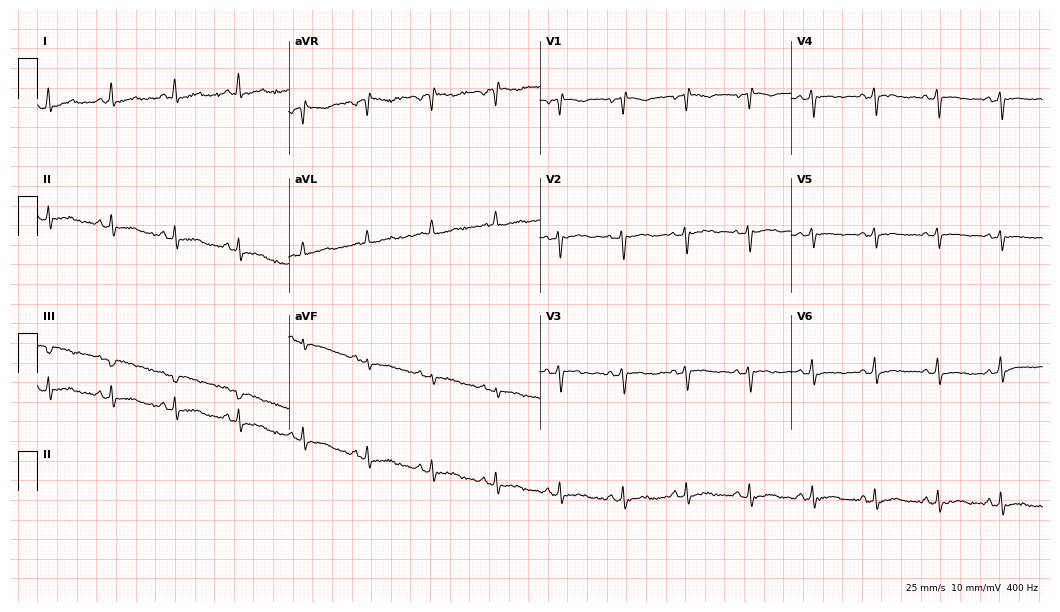
ECG — a 44-year-old female patient. Screened for six findings — first-degree AV block, right bundle branch block (RBBB), left bundle branch block (LBBB), sinus bradycardia, atrial fibrillation (AF), sinus tachycardia — none is recorded.